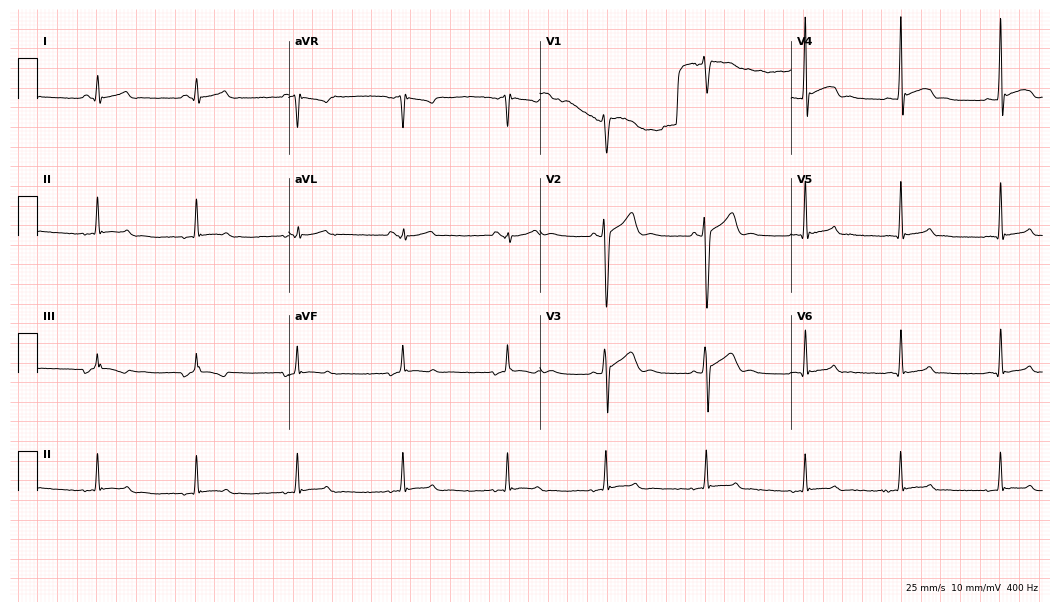
Electrocardiogram (10.2-second recording at 400 Hz), a male patient, 19 years old. Of the six screened findings (first-degree AV block, right bundle branch block (RBBB), left bundle branch block (LBBB), sinus bradycardia, atrial fibrillation (AF), sinus tachycardia), none is recorded.